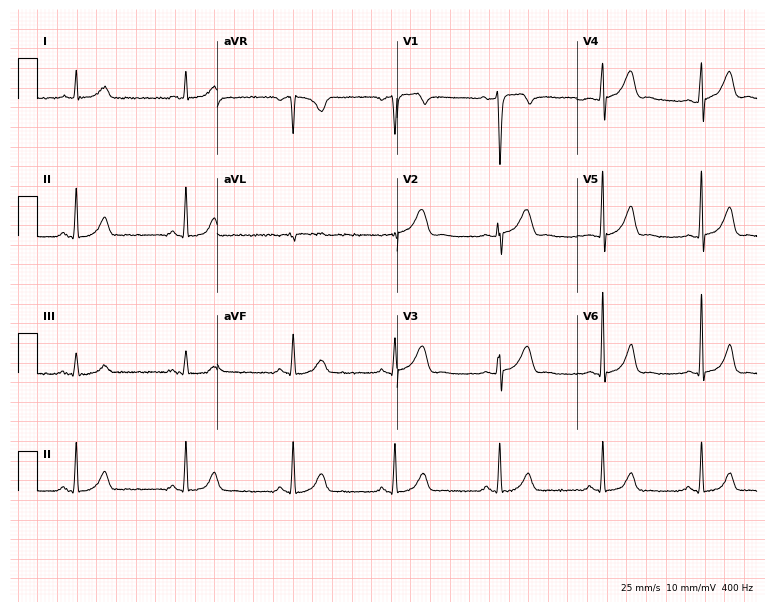
12-lead ECG from a 55-year-old male patient (7.3-second recording at 400 Hz). No first-degree AV block, right bundle branch block, left bundle branch block, sinus bradycardia, atrial fibrillation or sinus tachycardia recorded for this tracing. Findings outside these six are not listed.